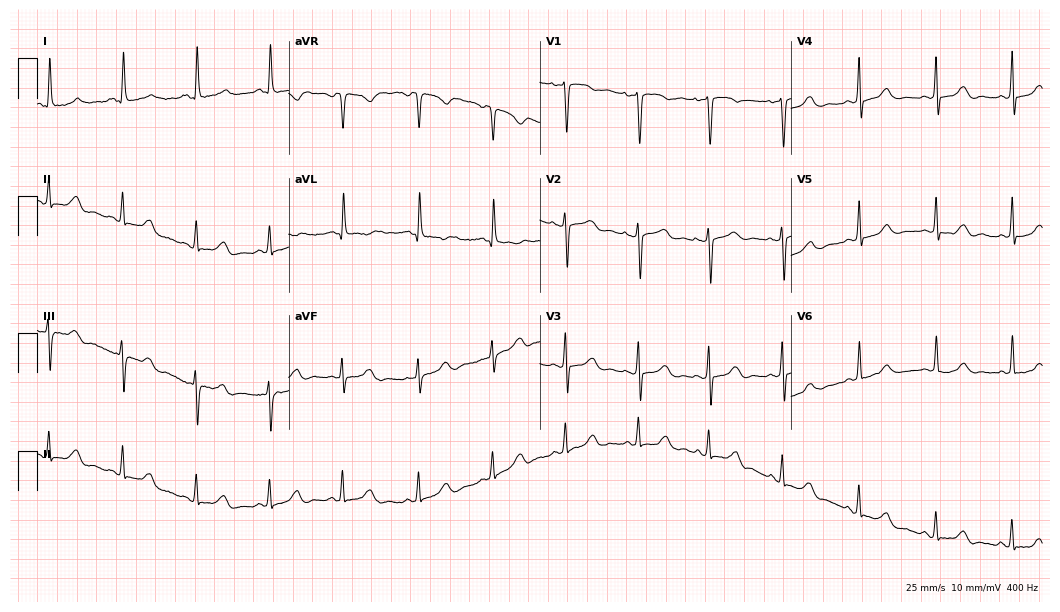
ECG — a female, 52 years old. Screened for six findings — first-degree AV block, right bundle branch block, left bundle branch block, sinus bradycardia, atrial fibrillation, sinus tachycardia — none is recorded. Other findings, if any, are not listed.